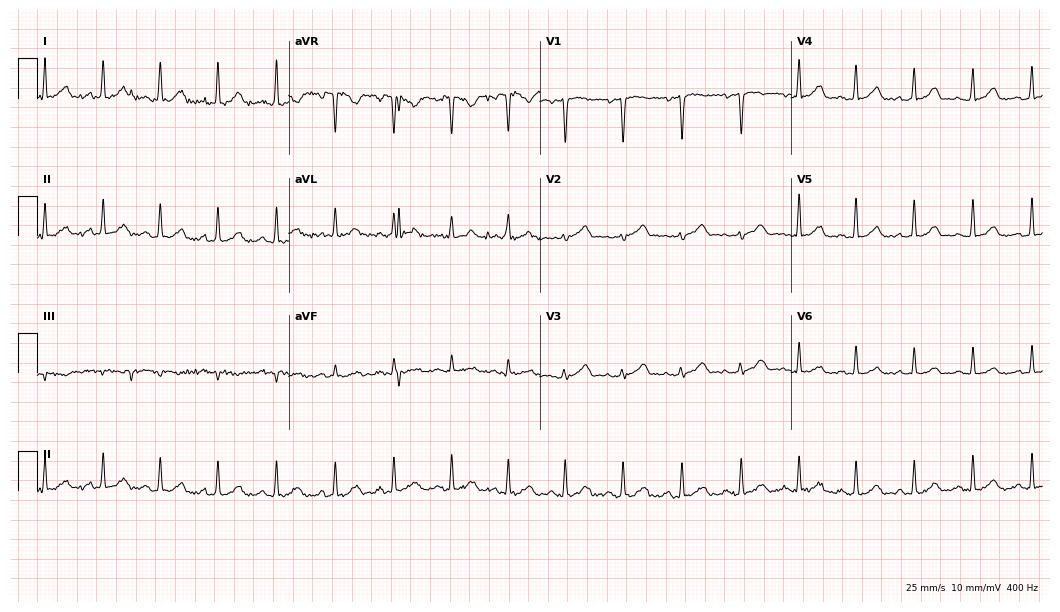
Electrocardiogram, a 38-year-old woman. Overall reading on record: normal ECG.